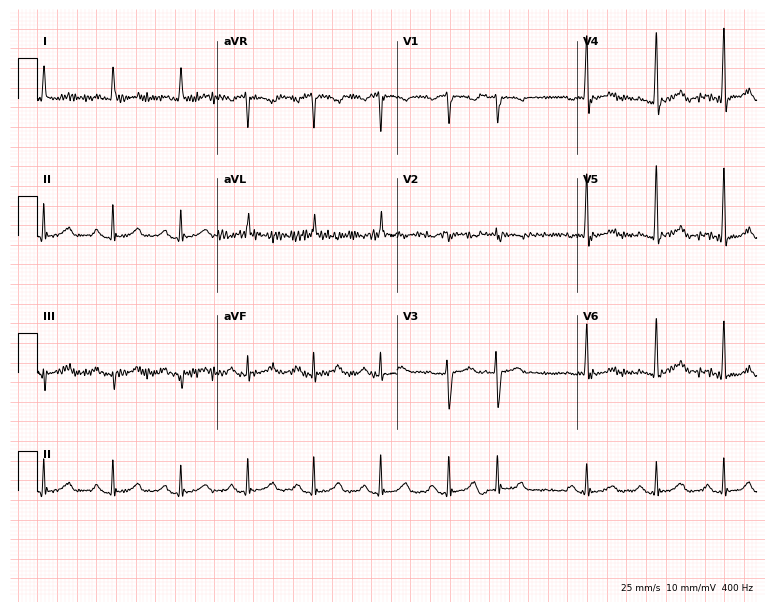
Resting 12-lead electrocardiogram. Patient: a female, 66 years old. None of these six findings is recorded: first-degree AV block, right bundle branch block (RBBB), left bundle branch block (LBBB), sinus bradycardia, atrial fibrillation (AF), sinus tachycardia.